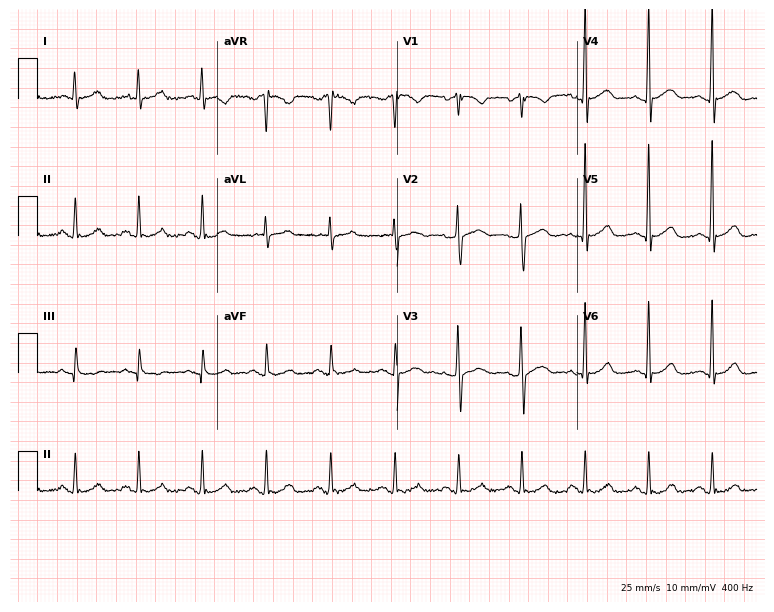
12-lead ECG from a male, 67 years old. Screened for six findings — first-degree AV block, right bundle branch block, left bundle branch block, sinus bradycardia, atrial fibrillation, sinus tachycardia — none is recorded.